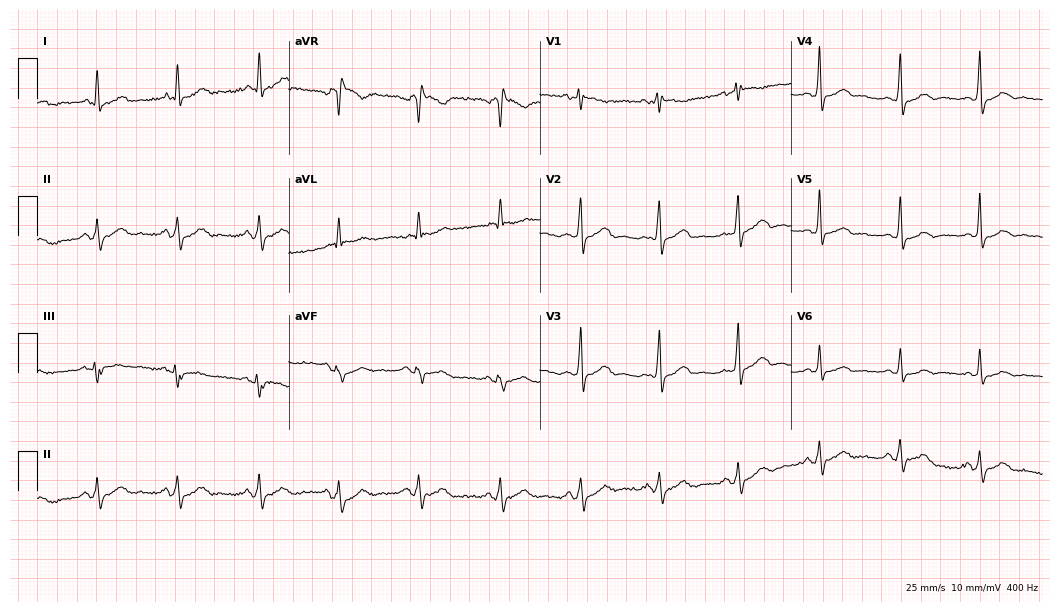
Resting 12-lead electrocardiogram. Patient: a 58-year-old female. Read as a normal ECG.